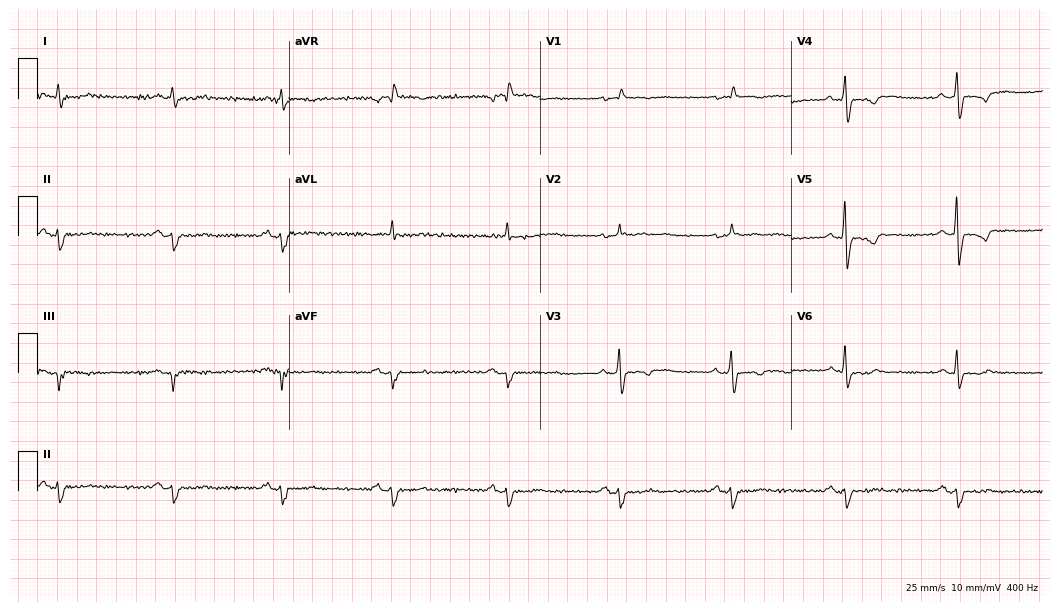
Electrocardiogram (10.2-second recording at 400 Hz), a 70-year-old male patient. Overall reading on record: normal ECG.